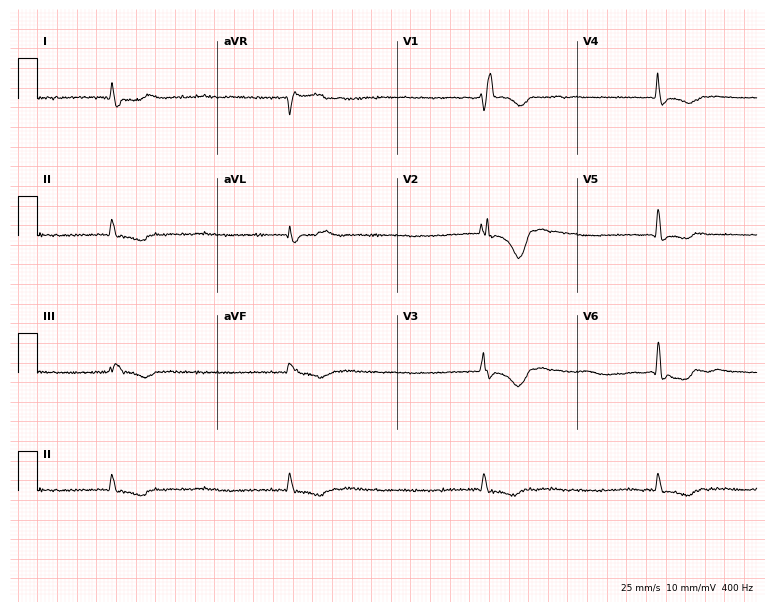
ECG (7.3-second recording at 400 Hz) — a female patient, 85 years old. Findings include right bundle branch block, atrial fibrillation.